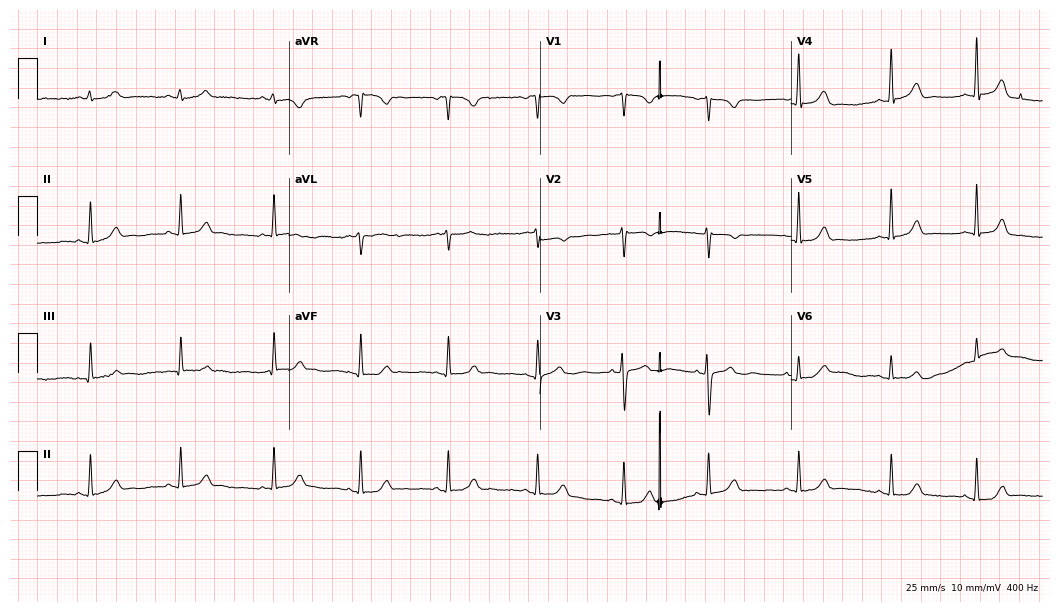
12-lead ECG from a 23-year-old woman (10.2-second recording at 400 Hz). Recorded interpretation: within normal limits.